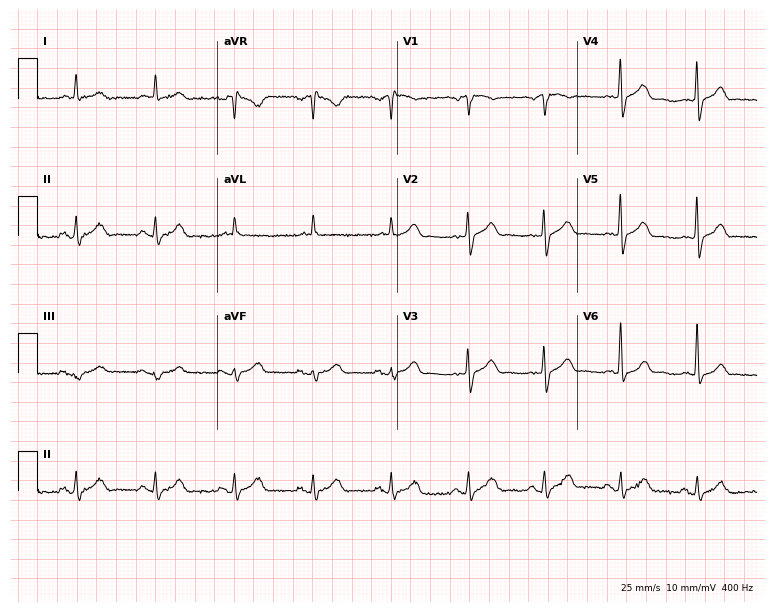
ECG — a male, 81 years old. Labelled as a normal ECG.